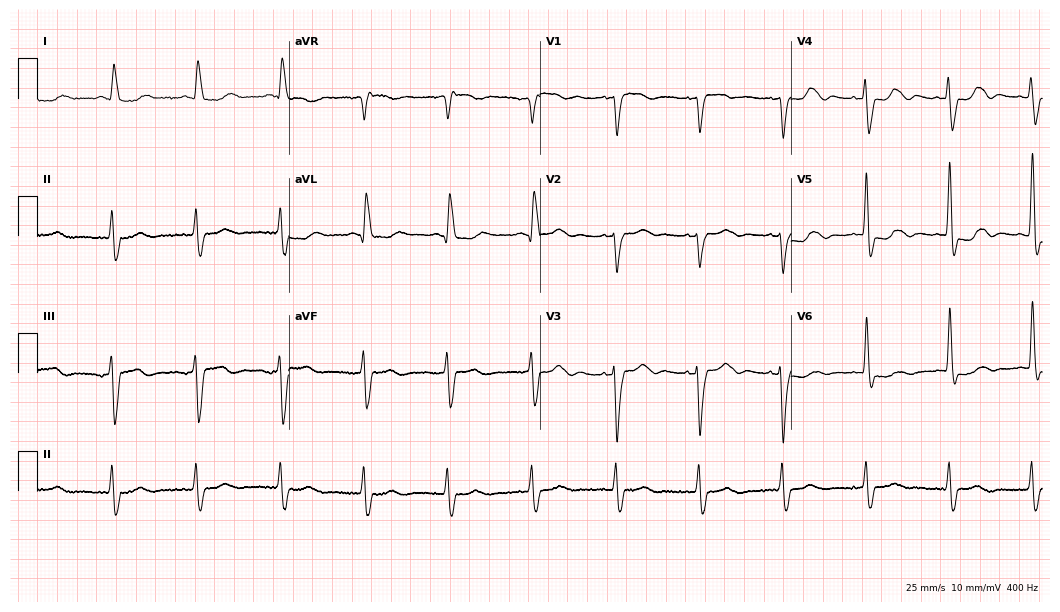
12-lead ECG from a woman, 78 years old. Screened for six findings — first-degree AV block, right bundle branch block, left bundle branch block, sinus bradycardia, atrial fibrillation, sinus tachycardia — none is recorded.